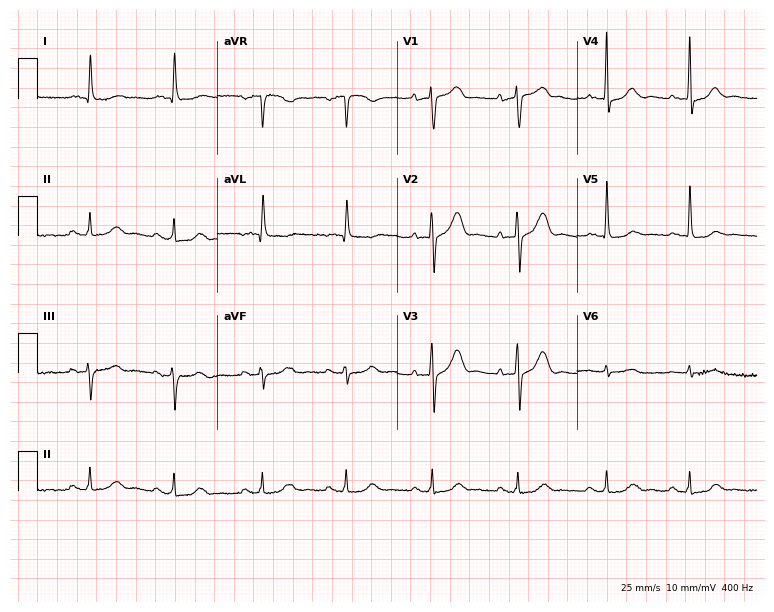
12-lead ECG (7.3-second recording at 400 Hz) from an 84-year-old woman. Labelled as a normal ECG.